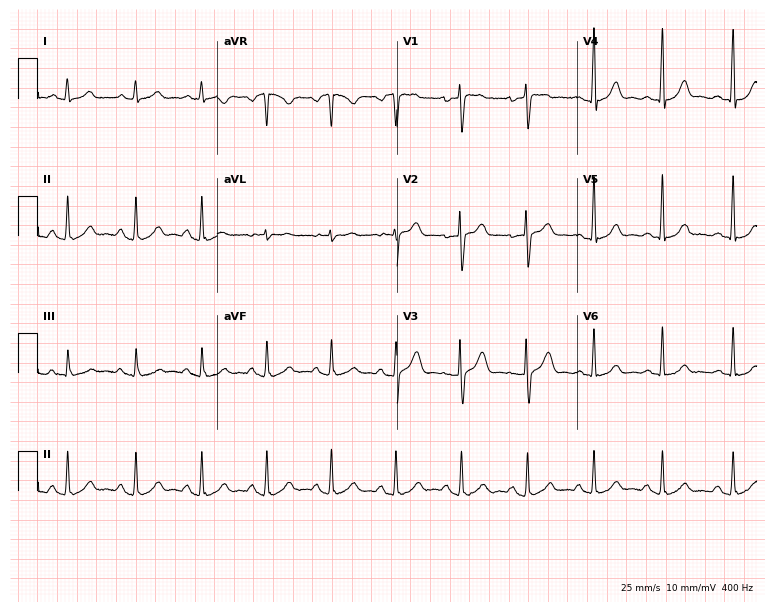
12-lead ECG from a 37-year-old female patient. Labelled as a normal ECG.